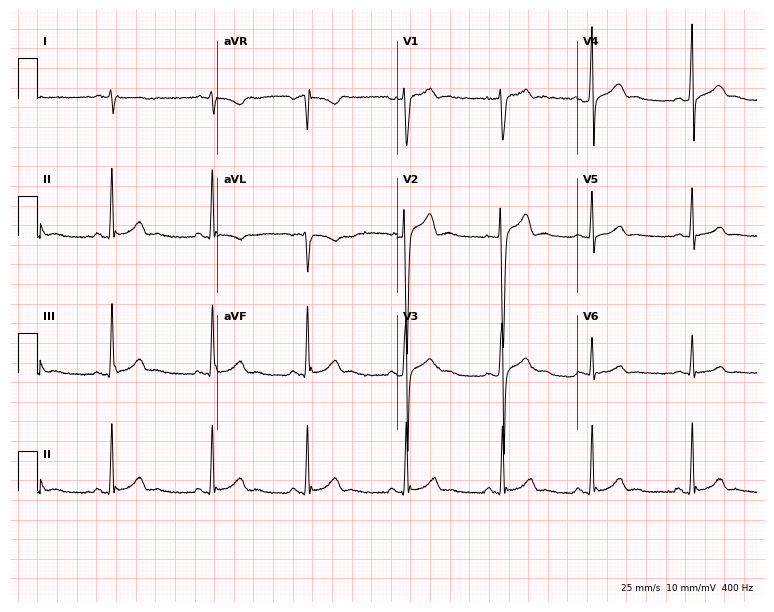
12-lead ECG from a man, 19 years old. Recorded interpretation: within normal limits.